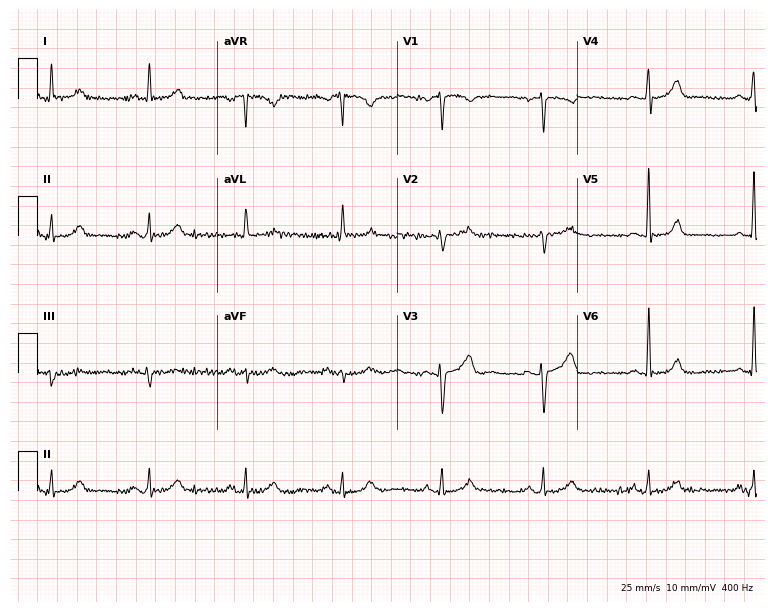
ECG (7.3-second recording at 400 Hz) — a male, 75 years old. Screened for six findings — first-degree AV block, right bundle branch block, left bundle branch block, sinus bradycardia, atrial fibrillation, sinus tachycardia — none is recorded. Other findings, if any, are not listed.